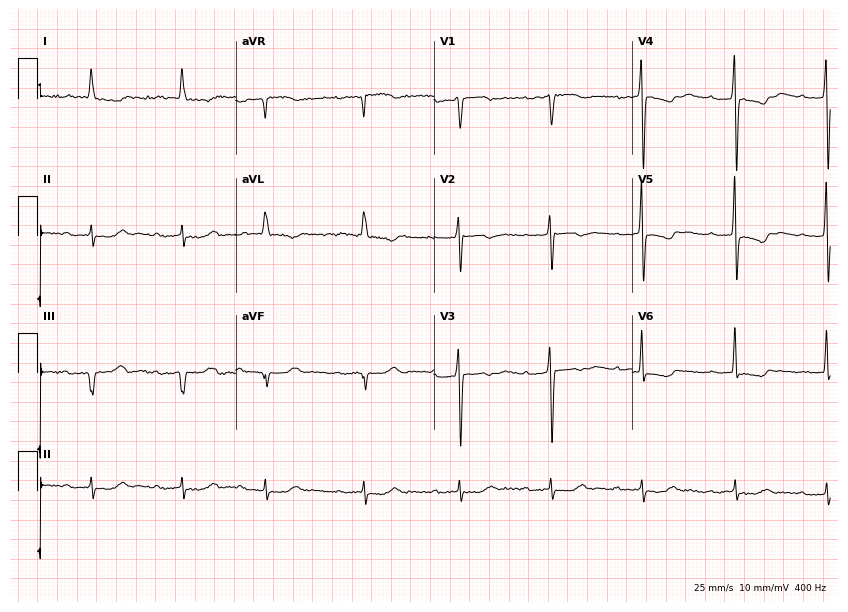
ECG (8.1-second recording at 400 Hz) — an 80-year-old female patient. Screened for six findings — first-degree AV block, right bundle branch block, left bundle branch block, sinus bradycardia, atrial fibrillation, sinus tachycardia — none is recorded. Other findings, if any, are not listed.